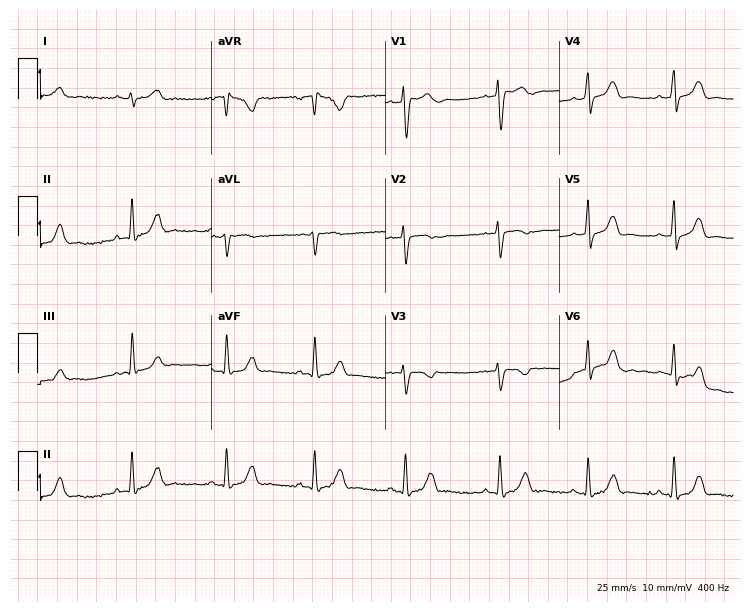
Standard 12-lead ECG recorded from a 20-year-old female. None of these six findings is recorded: first-degree AV block, right bundle branch block, left bundle branch block, sinus bradycardia, atrial fibrillation, sinus tachycardia.